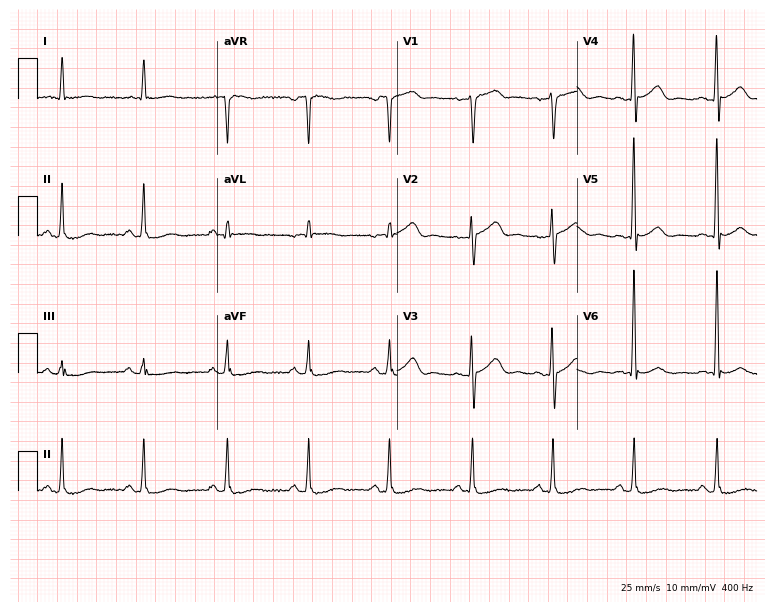
Electrocardiogram, a man, 76 years old. Of the six screened findings (first-degree AV block, right bundle branch block, left bundle branch block, sinus bradycardia, atrial fibrillation, sinus tachycardia), none is recorded.